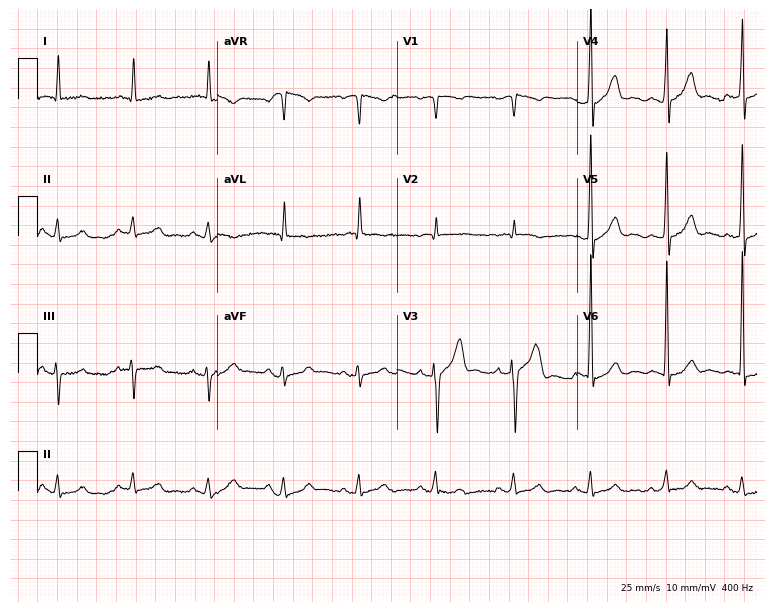
Electrocardiogram, an 80-year-old male. Overall reading on record: normal ECG.